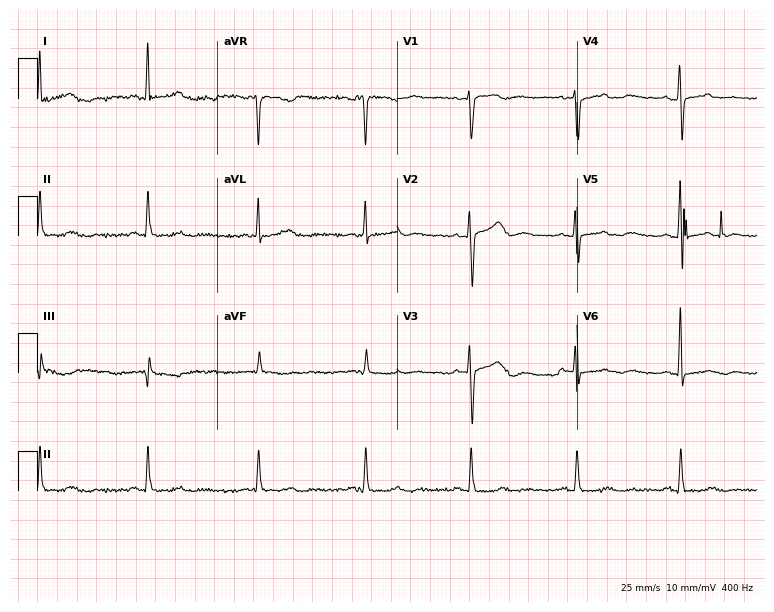
12-lead ECG from a 57-year-old female patient. No first-degree AV block, right bundle branch block, left bundle branch block, sinus bradycardia, atrial fibrillation or sinus tachycardia recorded for this tracing.